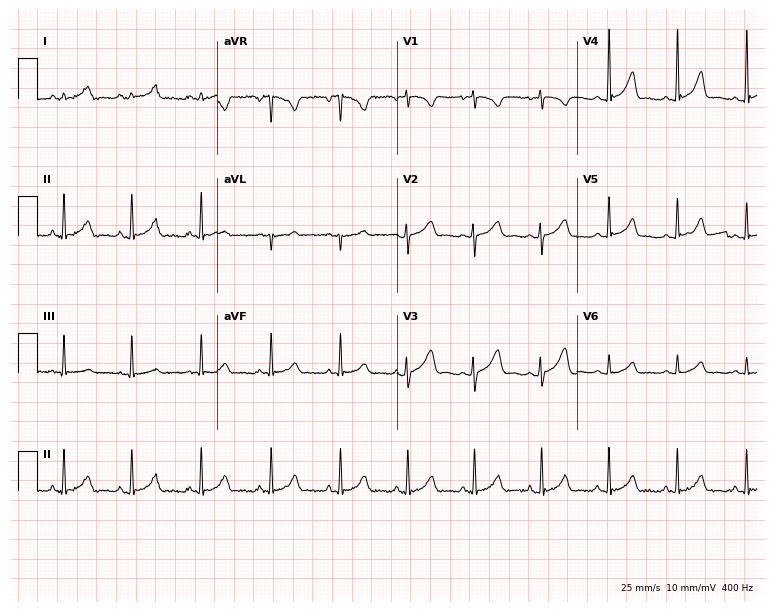
Resting 12-lead electrocardiogram (7.3-second recording at 400 Hz). Patient: an 18-year-old woman. Read as a normal ECG.